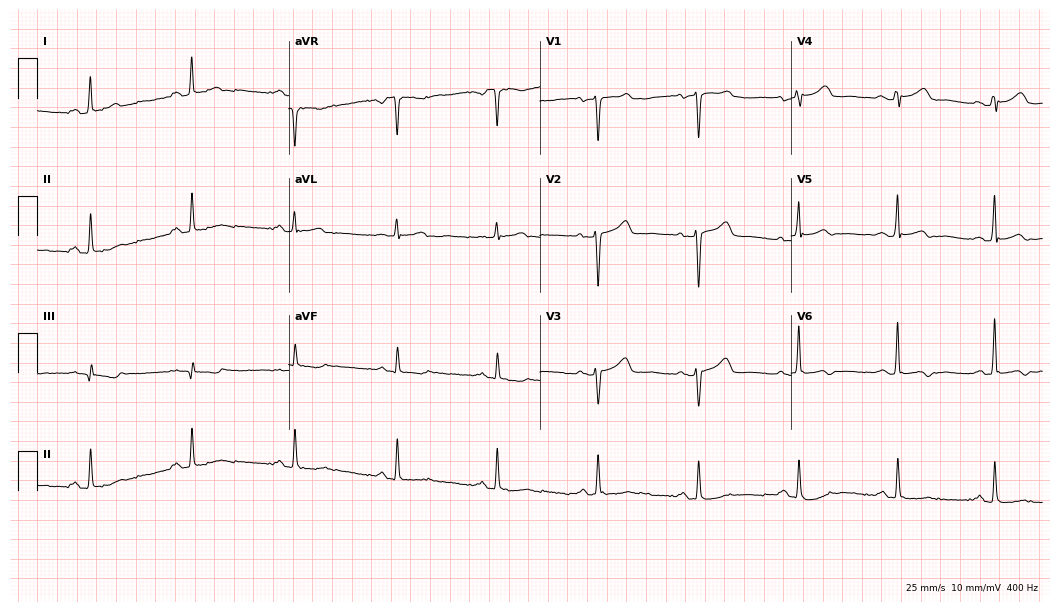
Electrocardiogram (10.2-second recording at 400 Hz), a female patient, 55 years old. Of the six screened findings (first-degree AV block, right bundle branch block (RBBB), left bundle branch block (LBBB), sinus bradycardia, atrial fibrillation (AF), sinus tachycardia), none is recorded.